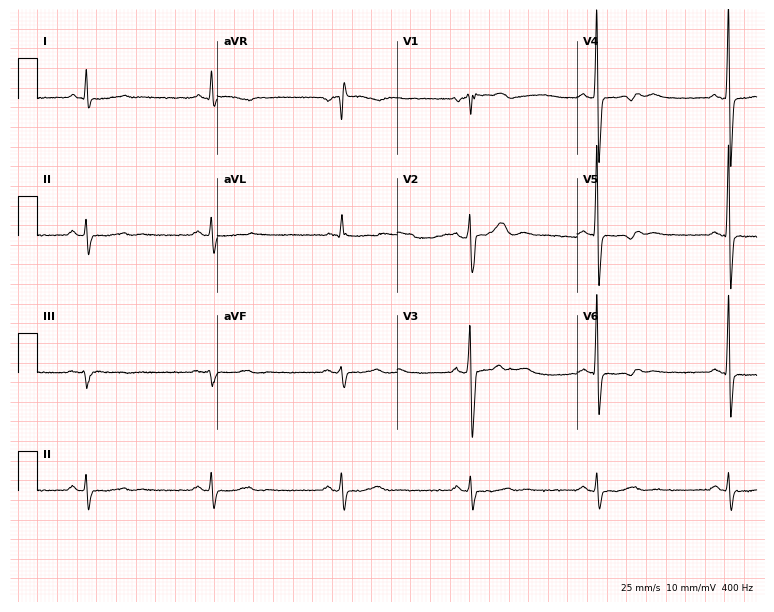
12-lead ECG from a 63-year-old male patient (7.3-second recording at 400 Hz). Shows sinus bradycardia (a sinus rate of 50 beats per minute or less).